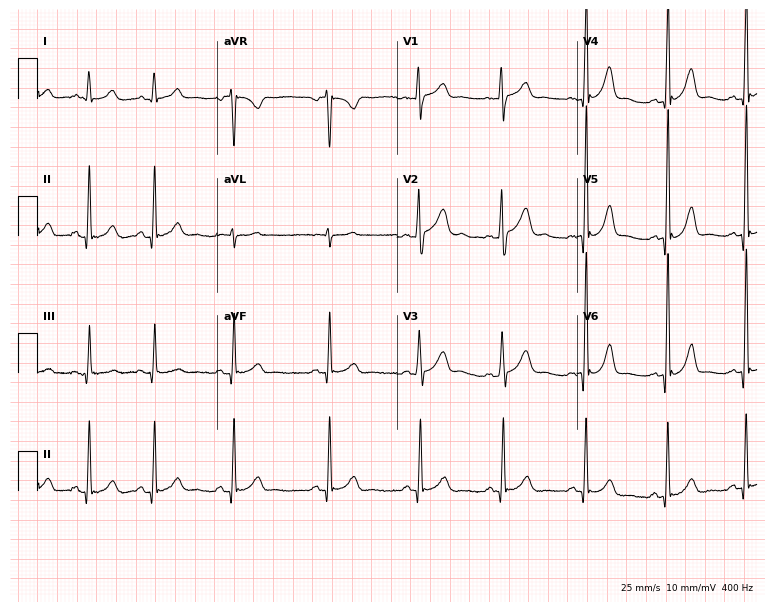
Resting 12-lead electrocardiogram (7.3-second recording at 400 Hz). Patient: a 27-year-old female. None of these six findings is recorded: first-degree AV block, right bundle branch block, left bundle branch block, sinus bradycardia, atrial fibrillation, sinus tachycardia.